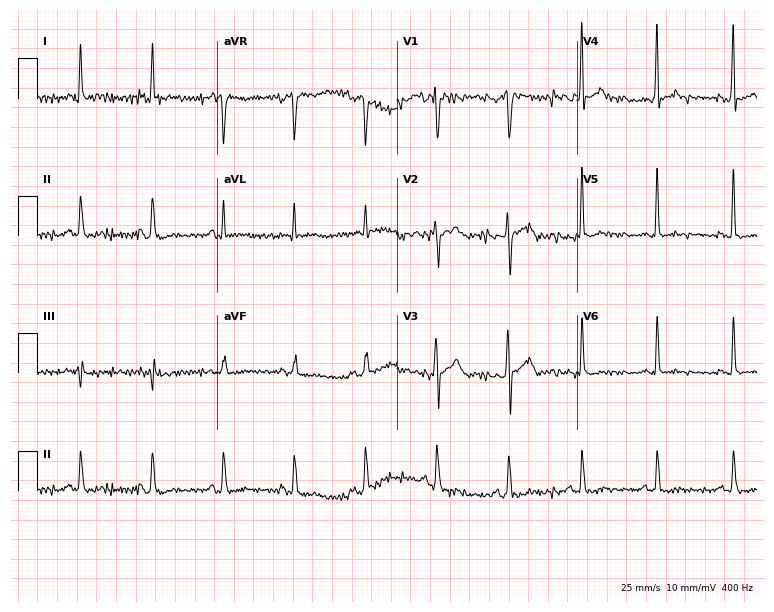
12-lead ECG from a male, 47 years old (7.3-second recording at 400 Hz). No first-degree AV block, right bundle branch block, left bundle branch block, sinus bradycardia, atrial fibrillation or sinus tachycardia recorded for this tracing. Other findings, if any, are not listed.